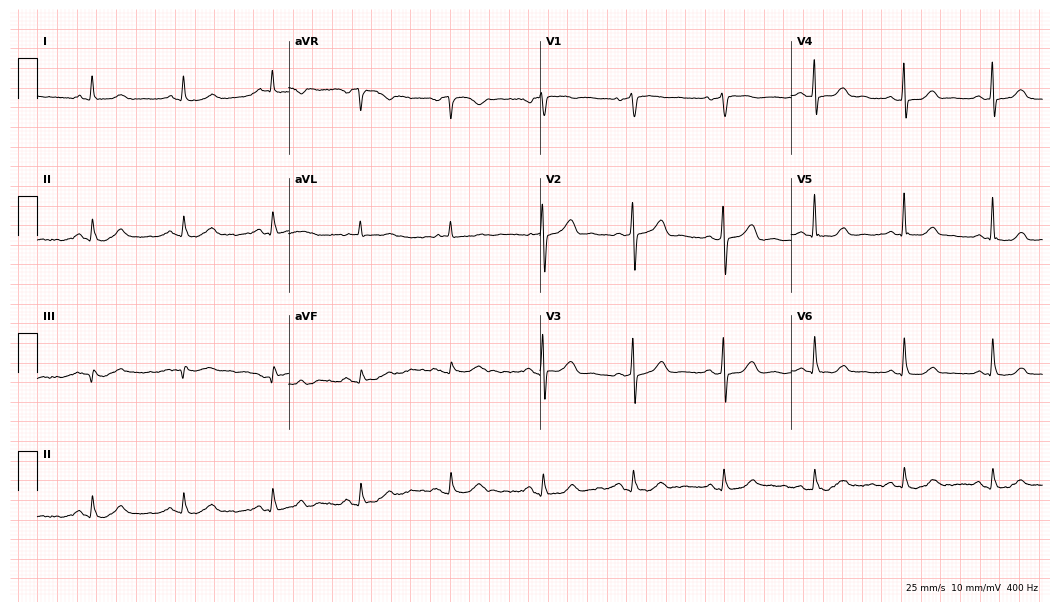
ECG (10.2-second recording at 400 Hz) — a woman, 63 years old. Labelled as a normal ECG.